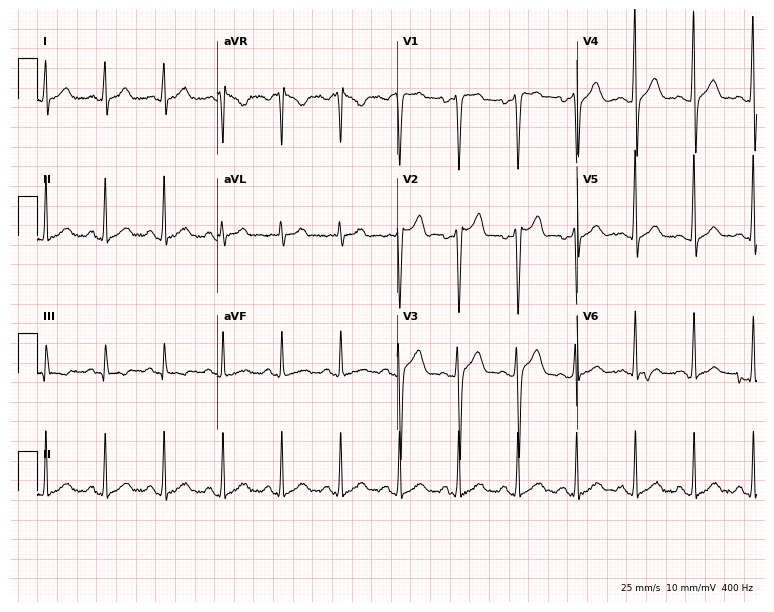
Electrocardiogram, a 41-year-old man. Of the six screened findings (first-degree AV block, right bundle branch block, left bundle branch block, sinus bradycardia, atrial fibrillation, sinus tachycardia), none is recorded.